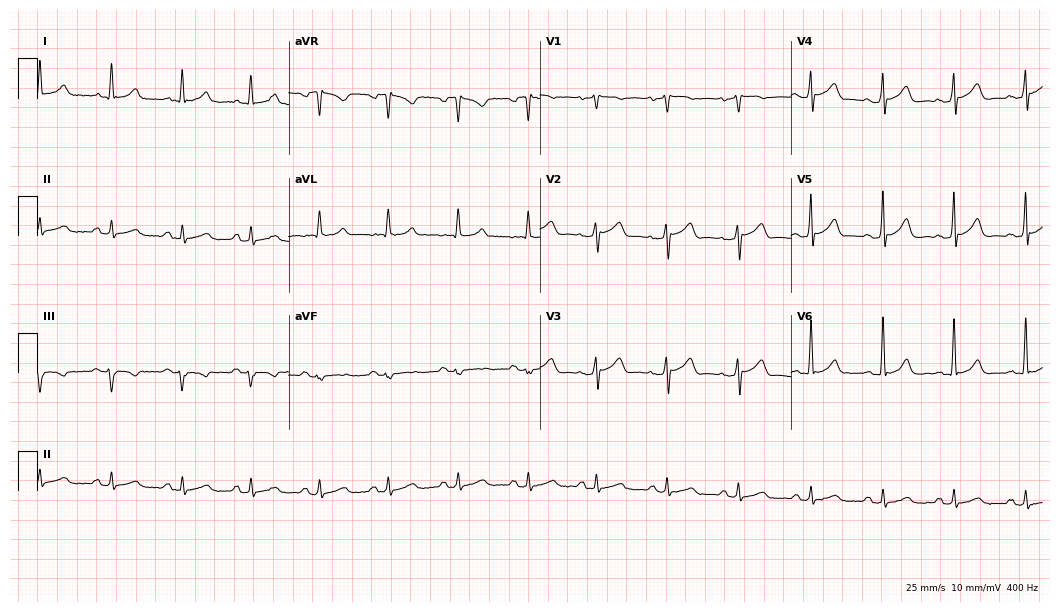
12-lead ECG from a male, 62 years old. Labelled as a normal ECG.